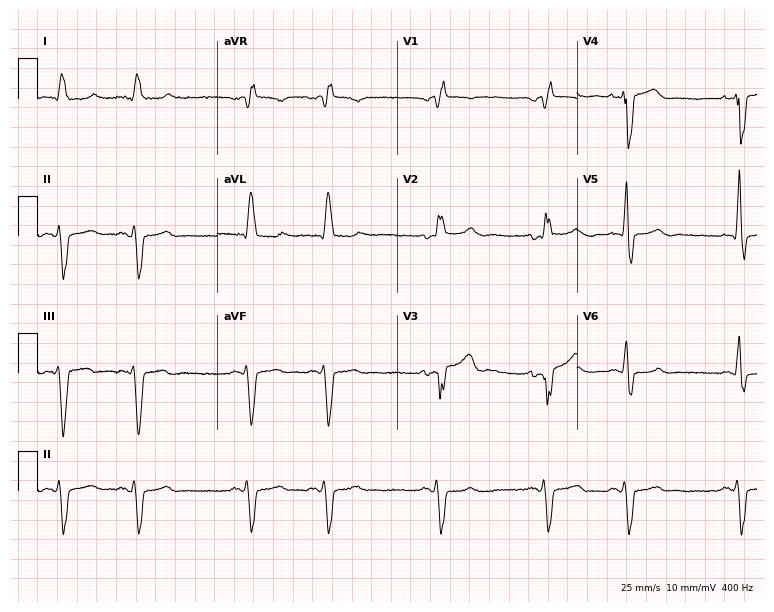
Resting 12-lead electrocardiogram (7.3-second recording at 400 Hz). Patient: a male, 77 years old. The tracing shows right bundle branch block.